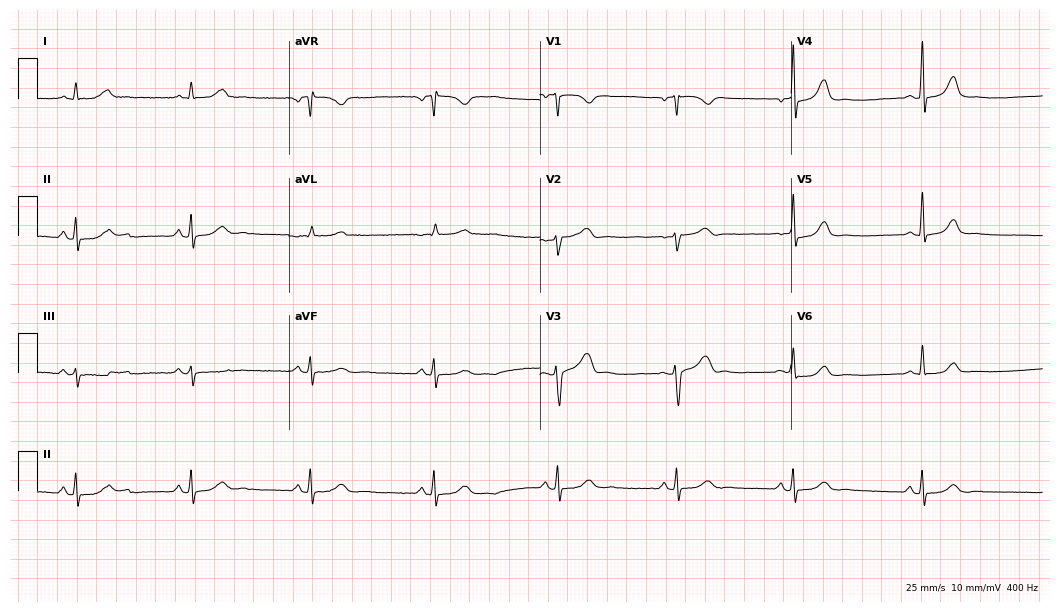
Standard 12-lead ECG recorded from a 48-year-old female (10.2-second recording at 400 Hz). The tracing shows sinus bradycardia (a sinus rate of 50 beats per minute or less).